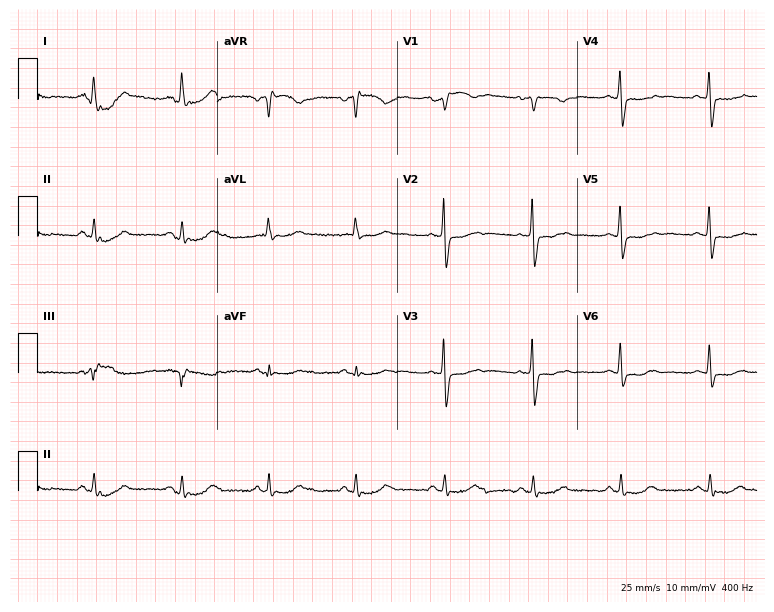
Standard 12-lead ECG recorded from a 67-year-old female patient (7.3-second recording at 400 Hz). None of these six findings is recorded: first-degree AV block, right bundle branch block, left bundle branch block, sinus bradycardia, atrial fibrillation, sinus tachycardia.